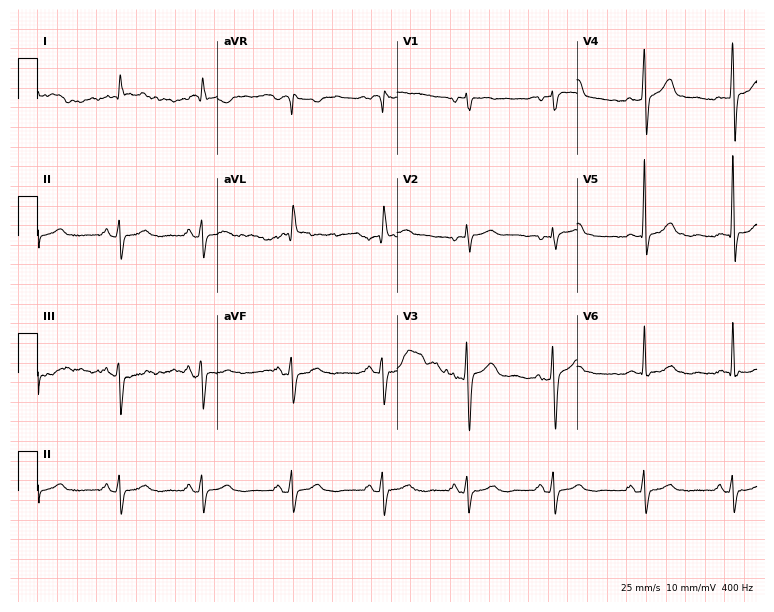
Electrocardiogram (7.3-second recording at 400 Hz), a female patient, 79 years old. Of the six screened findings (first-degree AV block, right bundle branch block, left bundle branch block, sinus bradycardia, atrial fibrillation, sinus tachycardia), none is recorded.